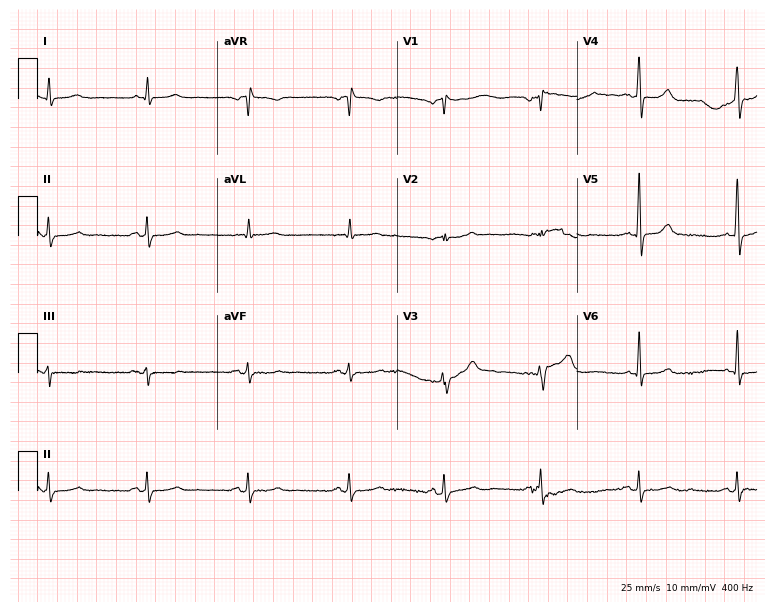
12-lead ECG (7.3-second recording at 400 Hz) from a male patient, 71 years old. Labelled as a normal ECG.